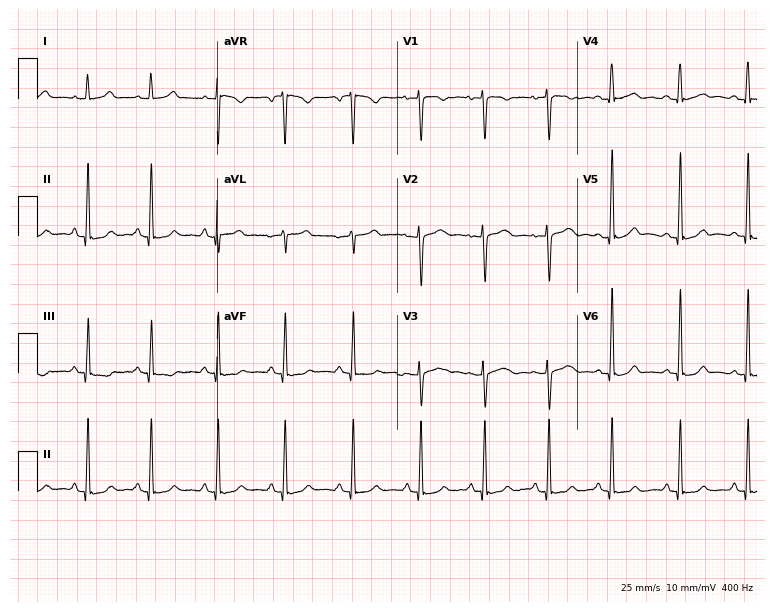
12-lead ECG from a 44-year-old woman (7.3-second recording at 400 Hz). Recorded interpretation: within normal limits.